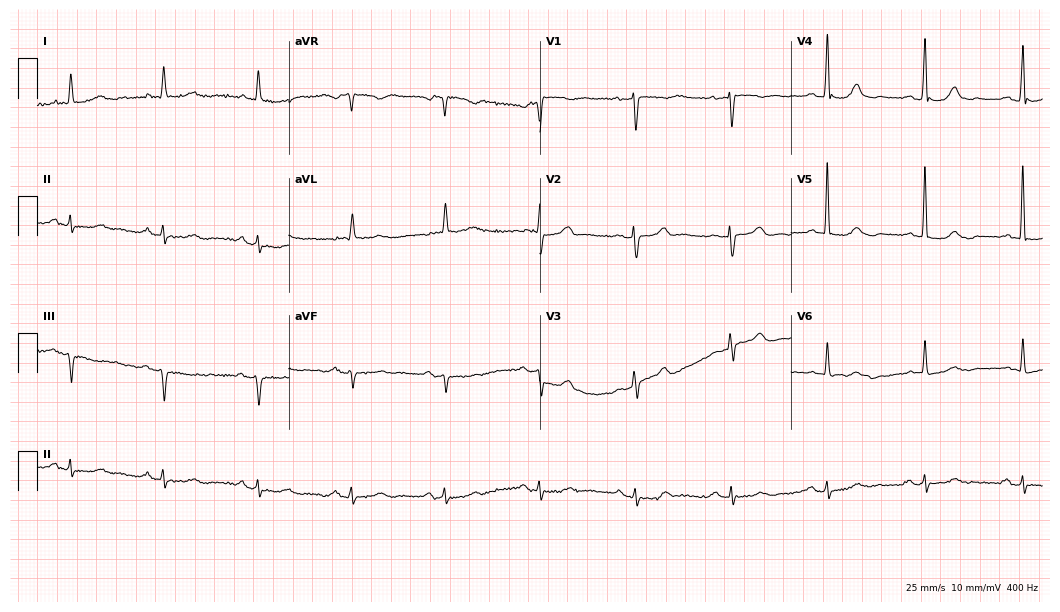
Standard 12-lead ECG recorded from an 80-year-old female patient (10.2-second recording at 400 Hz). None of these six findings is recorded: first-degree AV block, right bundle branch block, left bundle branch block, sinus bradycardia, atrial fibrillation, sinus tachycardia.